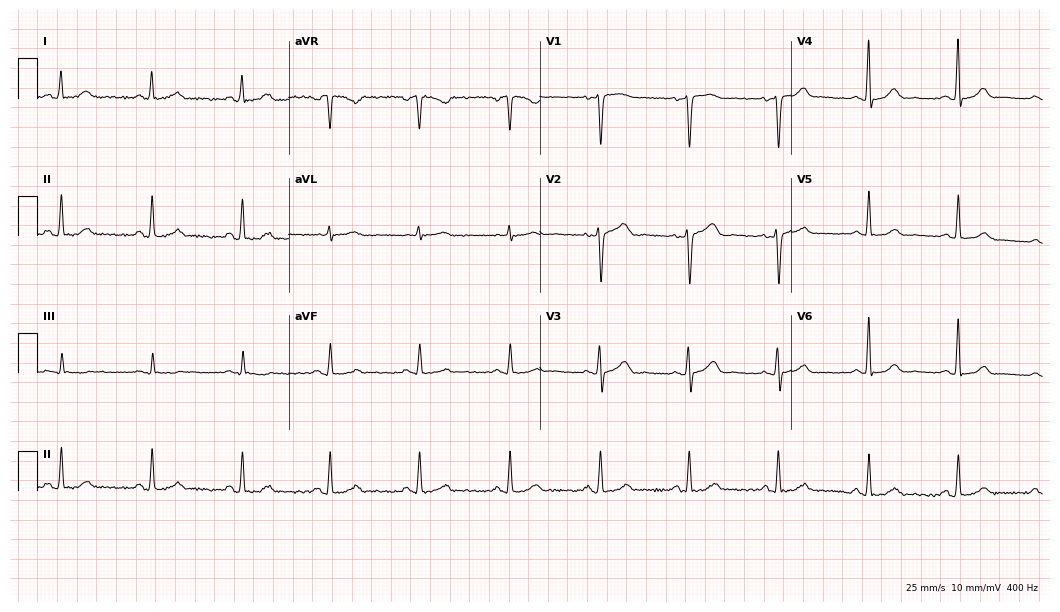
Standard 12-lead ECG recorded from a 38-year-old female. Read as a normal ECG.